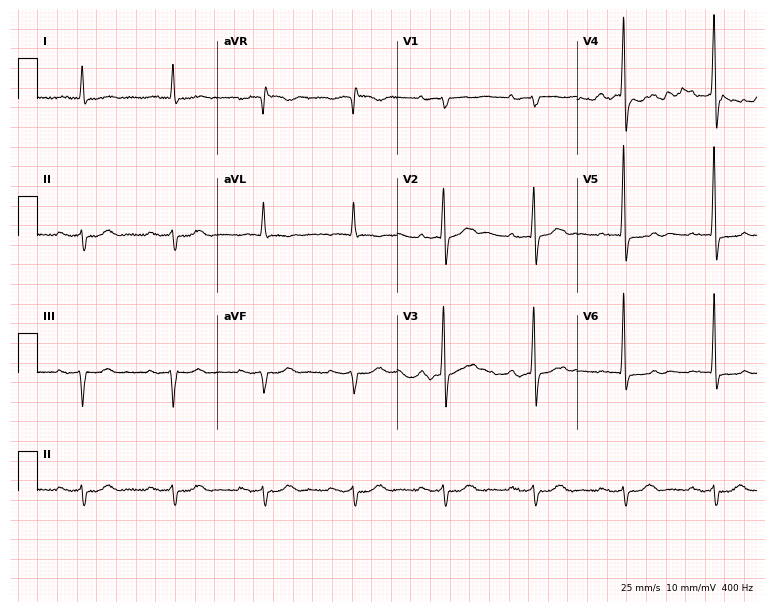
Standard 12-lead ECG recorded from a 75-year-old male. The tracing shows first-degree AV block.